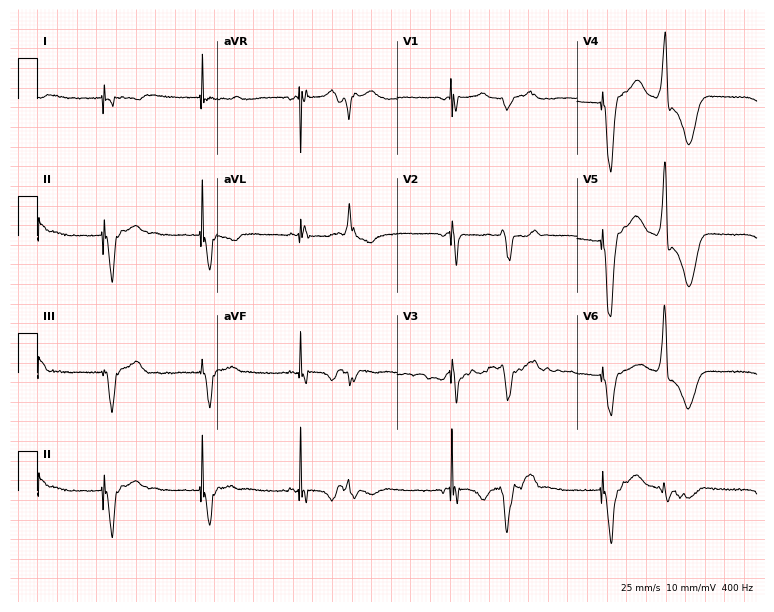
12-lead ECG (7.3-second recording at 400 Hz) from an 85-year-old female patient. Screened for six findings — first-degree AV block, right bundle branch block, left bundle branch block, sinus bradycardia, atrial fibrillation, sinus tachycardia — none is recorded. Only these six findings were labelled.